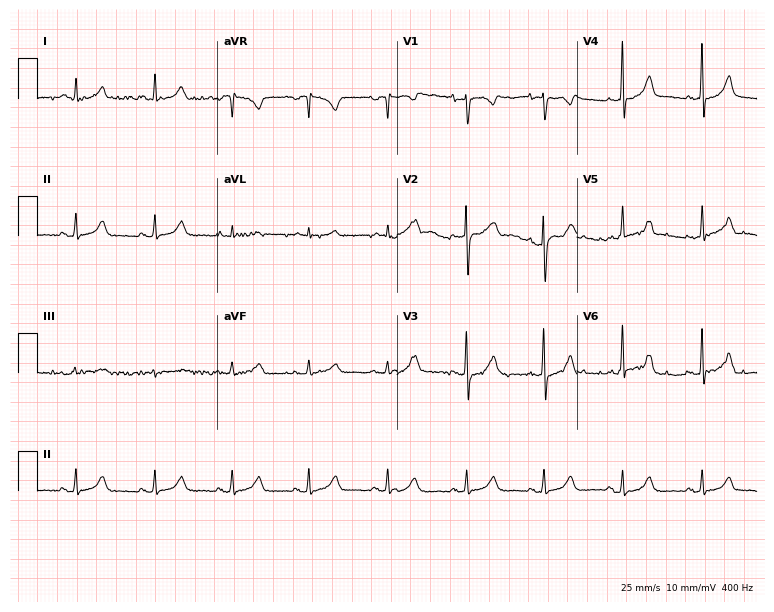
12-lead ECG (7.3-second recording at 400 Hz) from a female patient, 46 years old. Labelled as a normal ECG.